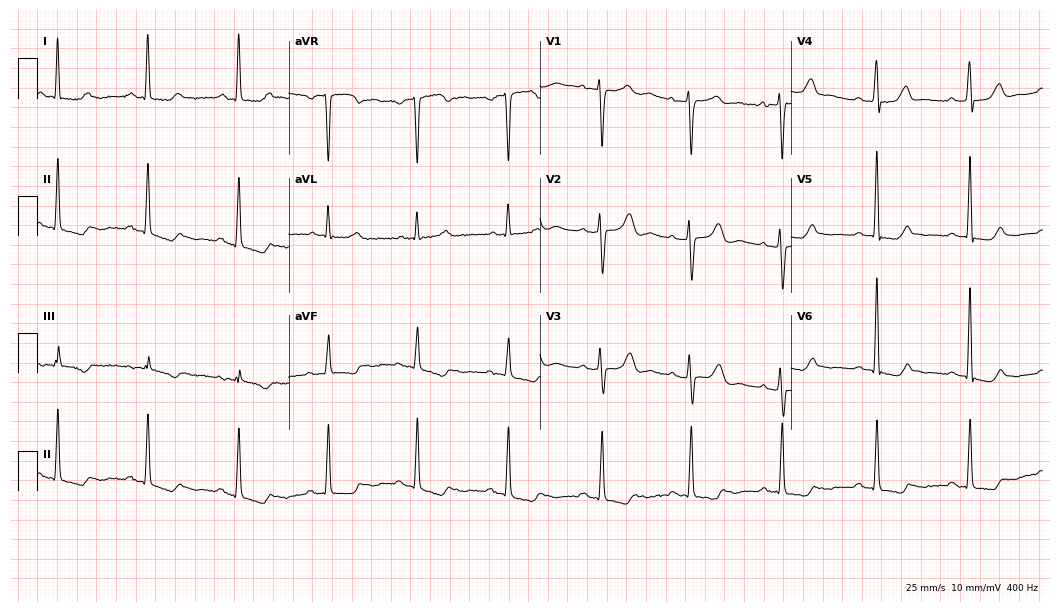
ECG (10.2-second recording at 400 Hz) — a female patient, 59 years old. Labelled as a normal ECG.